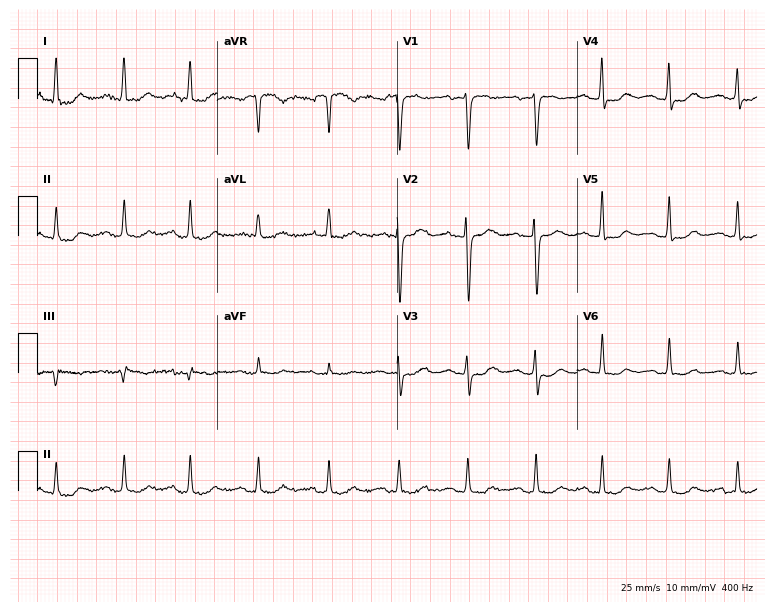
ECG — a female patient, 56 years old. Labelled as a normal ECG.